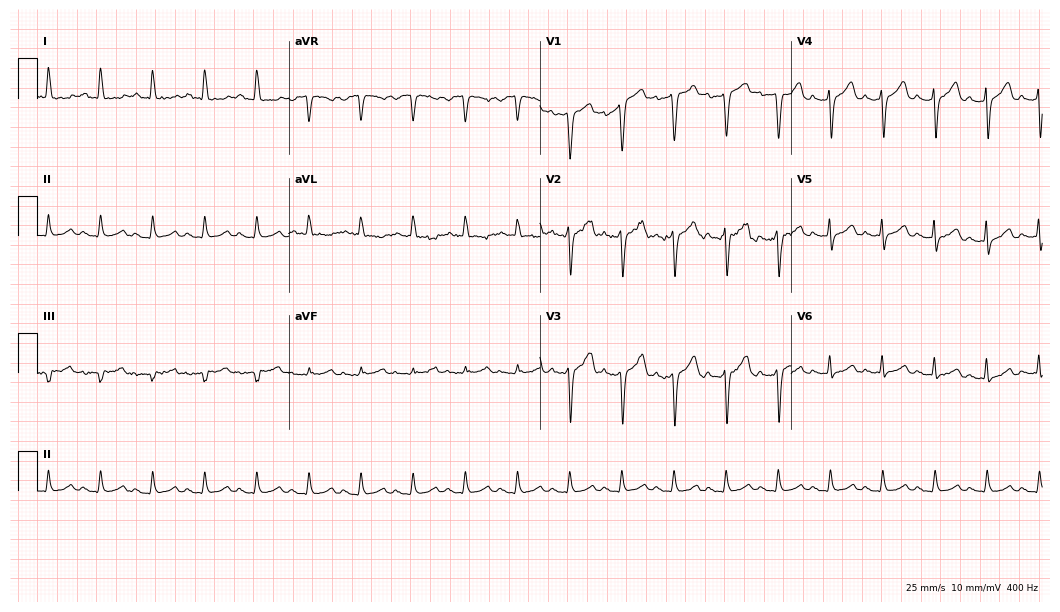
Resting 12-lead electrocardiogram (10.2-second recording at 400 Hz). Patient: a woman, 84 years old. None of these six findings is recorded: first-degree AV block, right bundle branch block (RBBB), left bundle branch block (LBBB), sinus bradycardia, atrial fibrillation (AF), sinus tachycardia. Other findings, if any, are not listed.